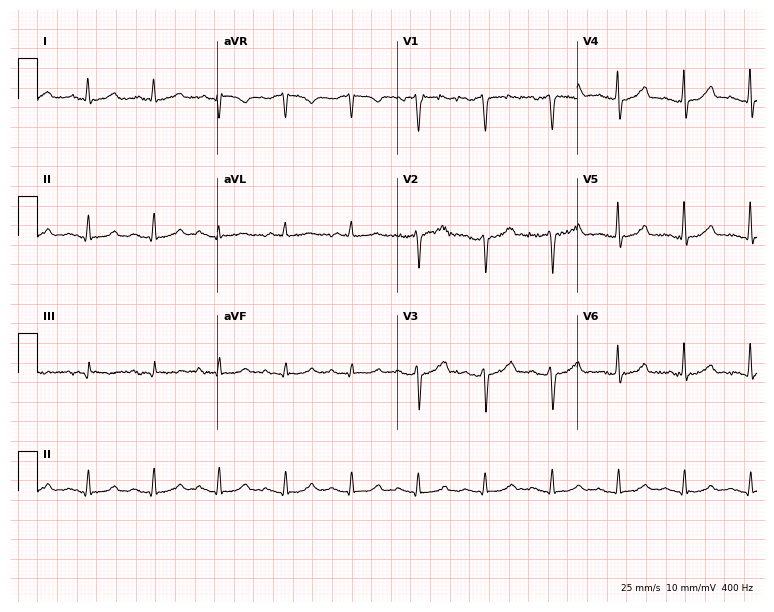
Electrocardiogram (7.3-second recording at 400 Hz), a 67-year-old male. Overall reading on record: normal ECG.